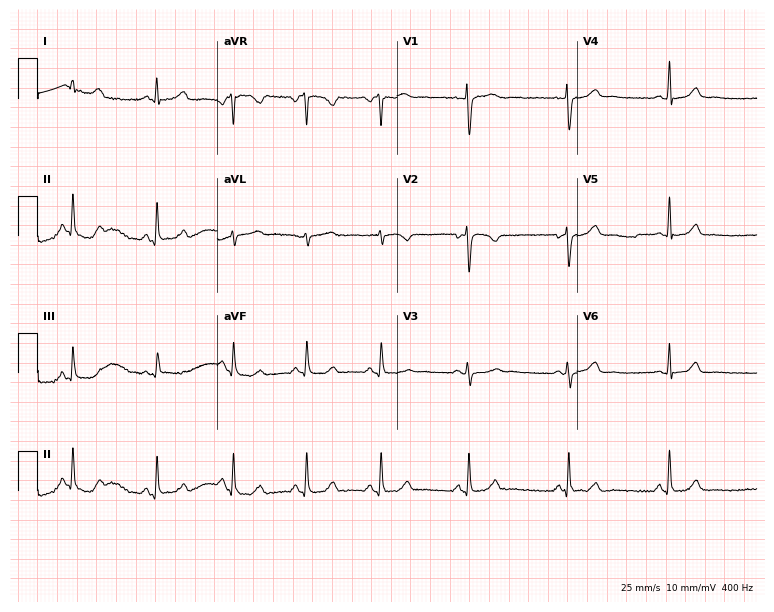
12-lead ECG from a 36-year-old female. No first-degree AV block, right bundle branch block, left bundle branch block, sinus bradycardia, atrial fibrillation or sinus tachycardia recorded for this tracing. Findings outside these six are not listed.